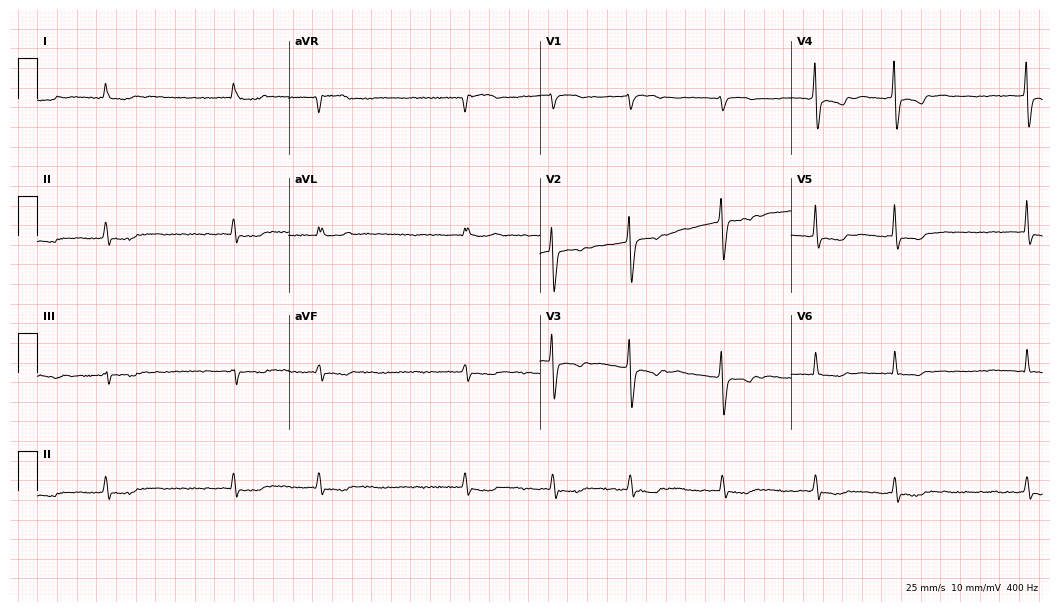
Electrocardiogram (10.2-second recording at 400 Hz), a 68-year-old female patient. Interpretation includes atrial fibrillation (AF).